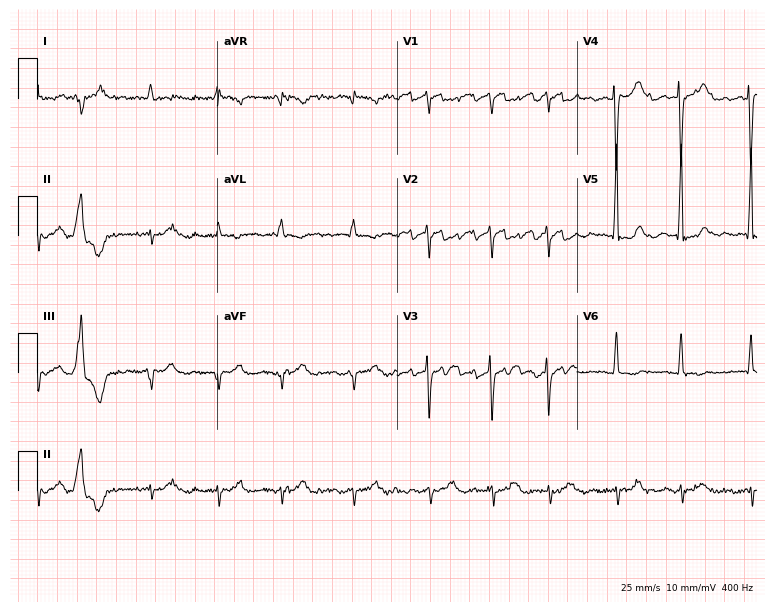
ECG (7.3-second recording at 400 Hz) — a 78-year-old female patient. Screened for six findings — first-degree AV block, right bundle branch block, left bundle branch block, sinus bradycardia, atrial fibrillation, sinus tachycardia — none is recorded. Only these six findings were labelled.